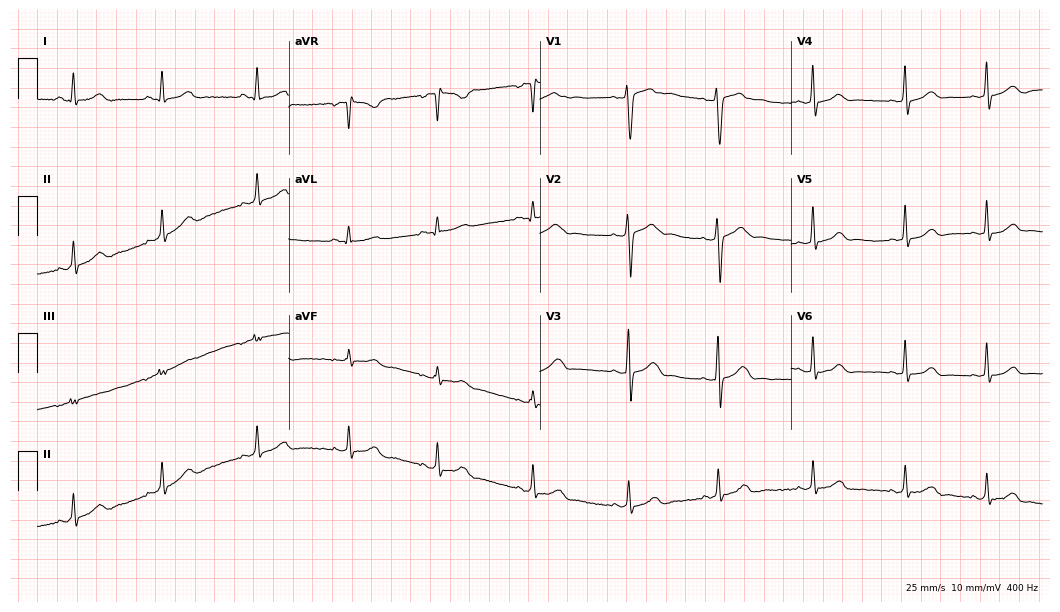
12-lead ECG from a woman, 28 years old (10.2-second recording at 400 Hz). Recorded interpretation: within normal limits.